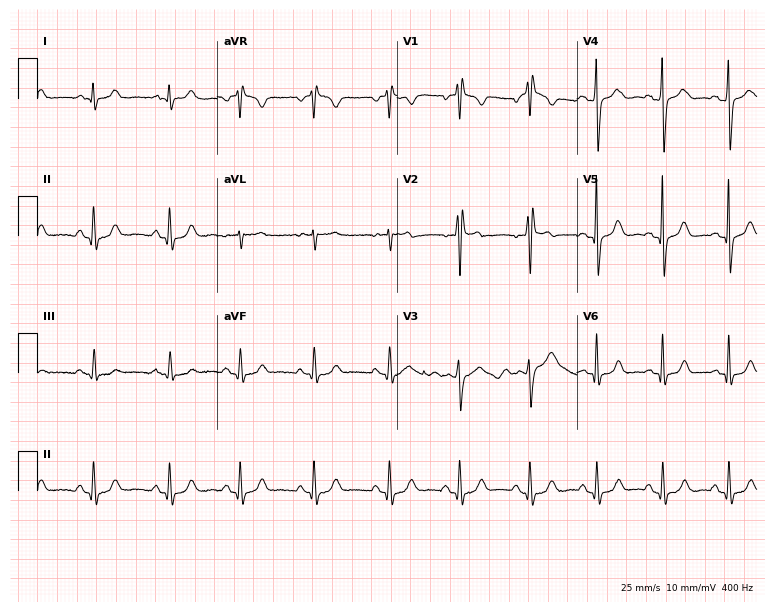
Electrocardiogram (7.3-second recording at 400 Hz), a 45-year-old man. Of the six screened findings (first-degree AV block, right bundle branch block, left bundle branch block, sinus bradycardia, atrial fibrillation, sinus tachycardia), none is recorded.